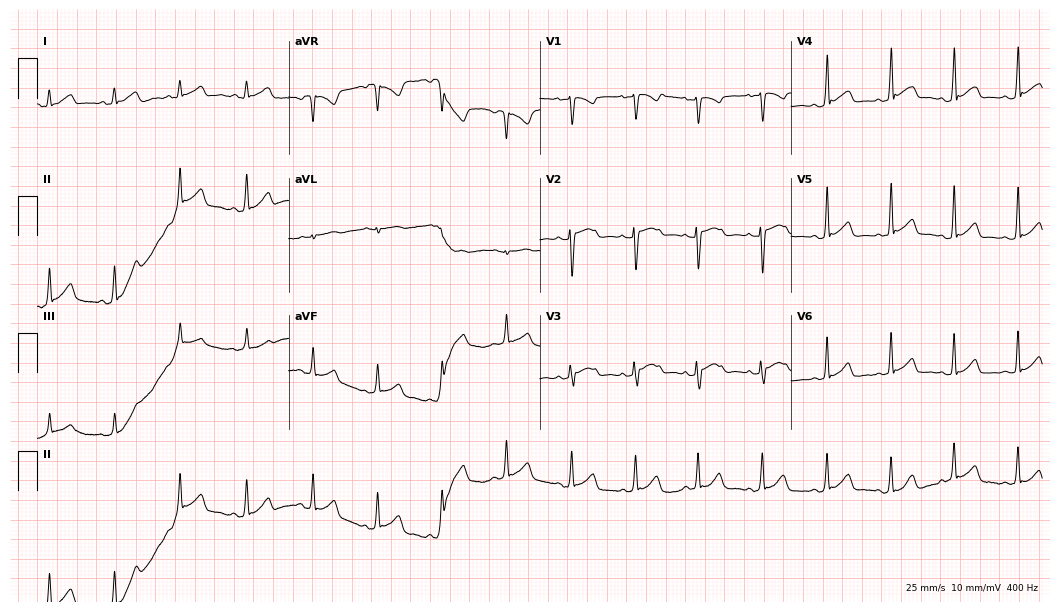
12-lead ECG (10.2-second recording at 400 Hz) from a female, 19 years old. Labelled as a normal ECG.